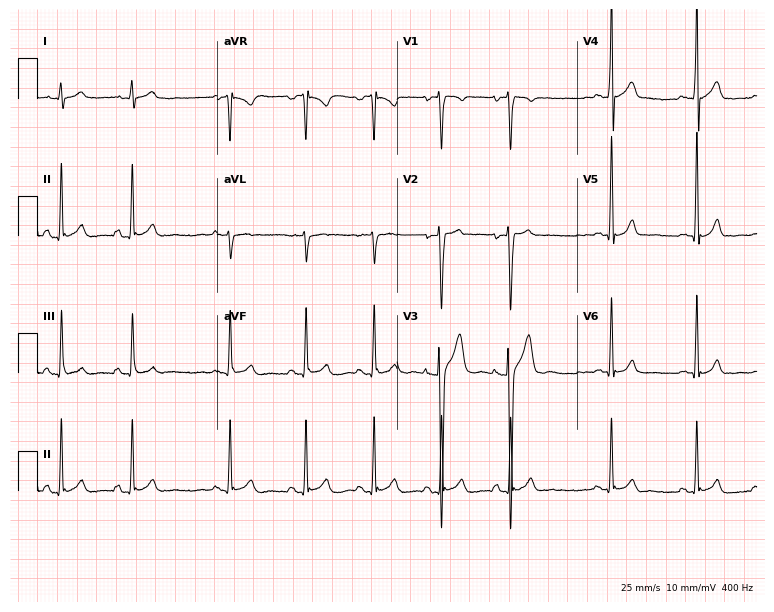
Electrocardiogram (7.3-second recording at 400 Hz), a 19-year-old male. Overall reading on record: normal ECG.